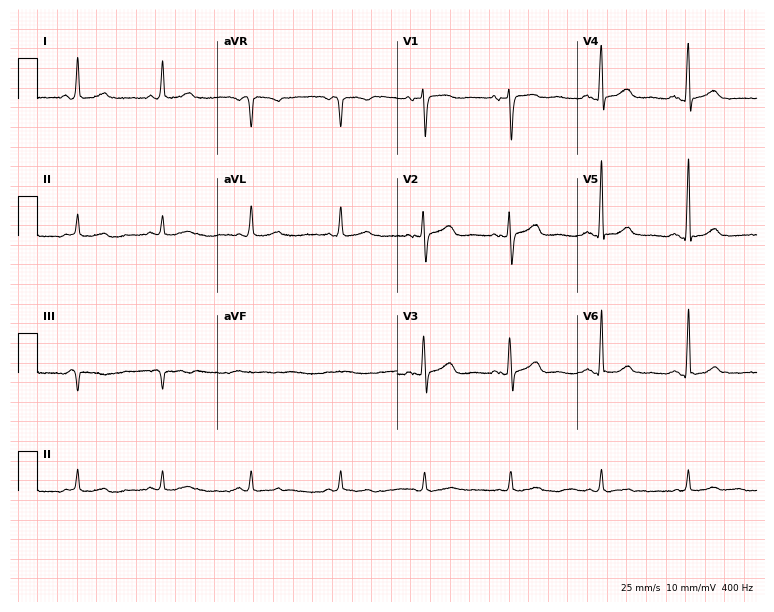
Standard 12-lead ECG recorded from a 62-year-old female patient. Read as a normal ECG.